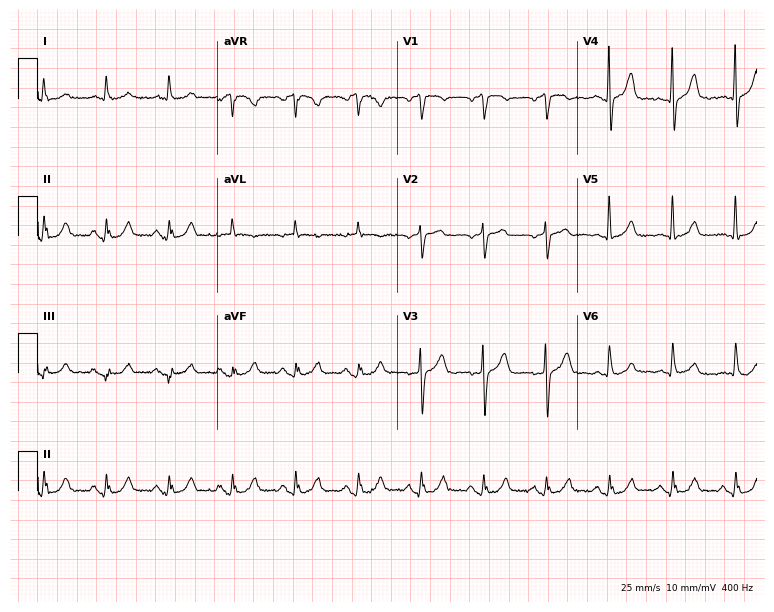
12-lead ECG (7.3-second recording at 400 Hz) from a 74-year-old male. Screened for six findings — first-degree AV block, right bundle branch block, left bundle branch block, sinus bradycardia, atrial fibrillation, sinus tachycardia — none is recorded. Findings outside these six are not listed.